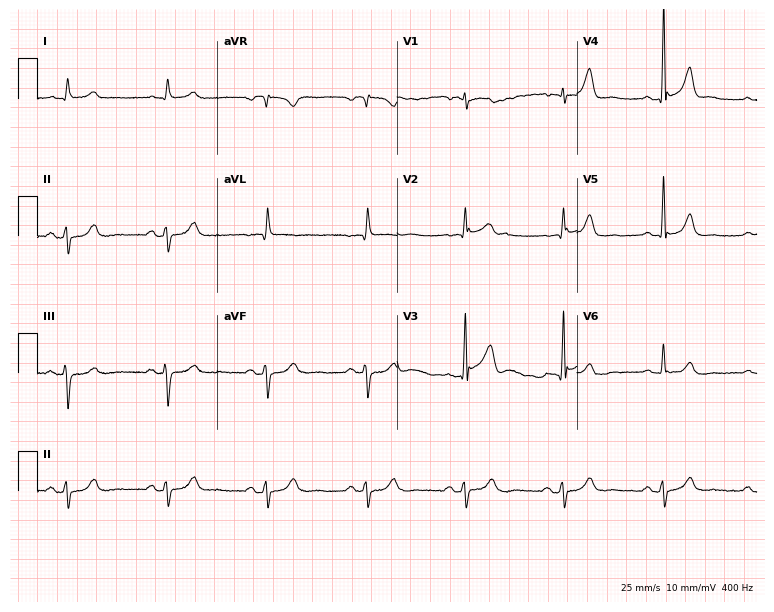
Resting 12-lead electrocardiogram (7.3-second recording at 400 Hz). Patient: a male, 70 years old. None of these six findings is recorded: first-degree AV block, right bundle branch block, left bundle branch block, sinus bradycardia, atrial fibrillation, sinus tachycardia. Other findings, if any, are not listed.